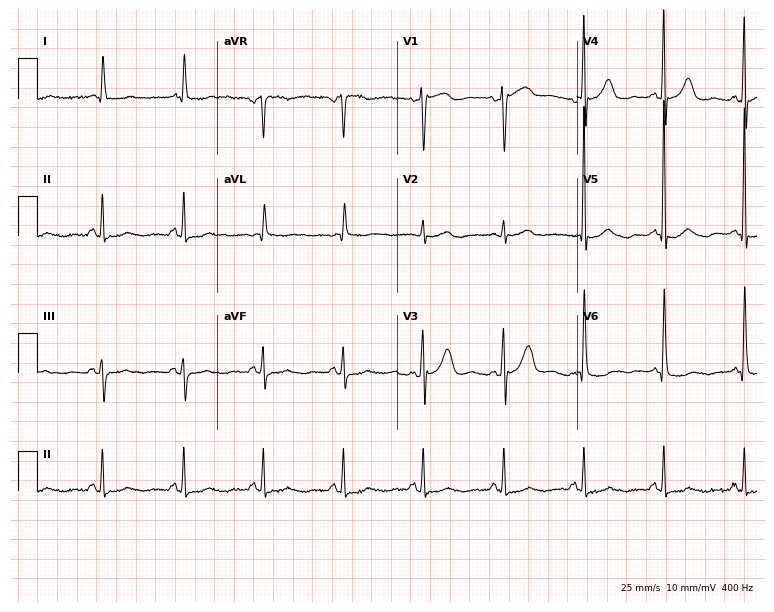
ECG (7.3-second recording at 400 Hz) — a 77-year-old male patient. Screened for six findings — first-degree AV block, right bundle branch block, left bundle branch block, sinus bradycardia, atrial fibrillation, sinus tachycardia — none is recorded. Other findings, if any, are not listed.